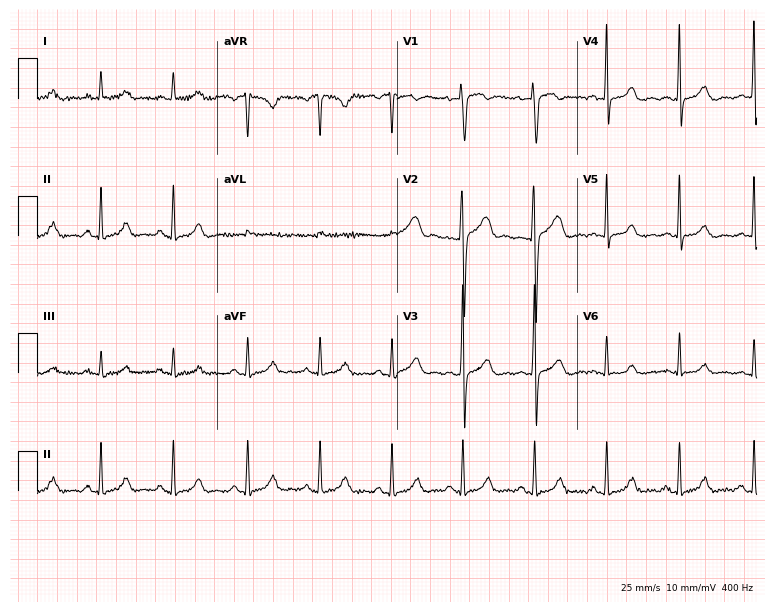
ECG — a 31-year-old male. Labelled as a normal ECG.